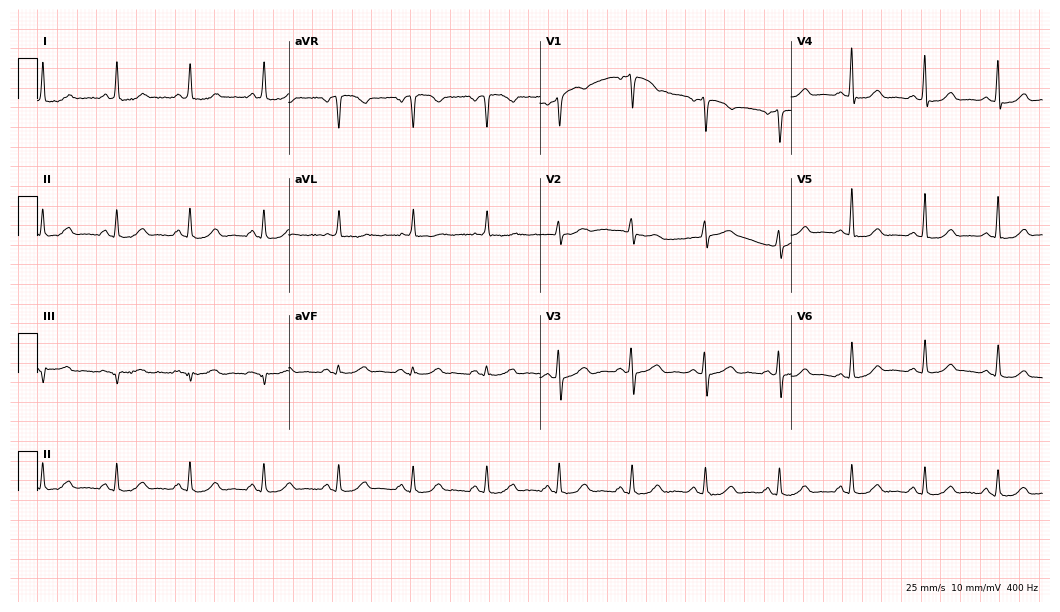
ECG (10.2-second recording at 400 Hz) — a female patient, 61 years old. Labelled as a normal ECG.